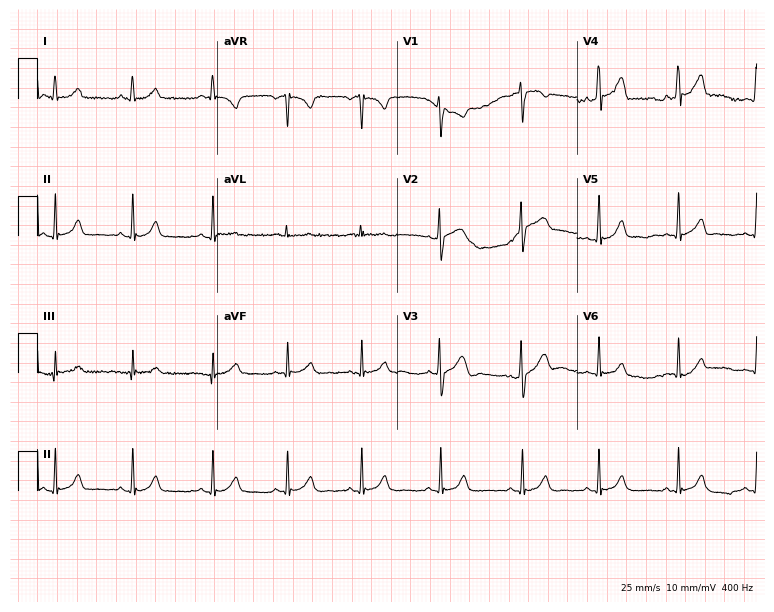
Standard 12-lead ECG recorded from a 19-year-old female. None of these six findings is recorded: first-degree AV block, right bundle branch block, left bundle branch block, sinus bradycardia, atrial fibrillation, sinus tachycardia. Only these six findings were labelled.